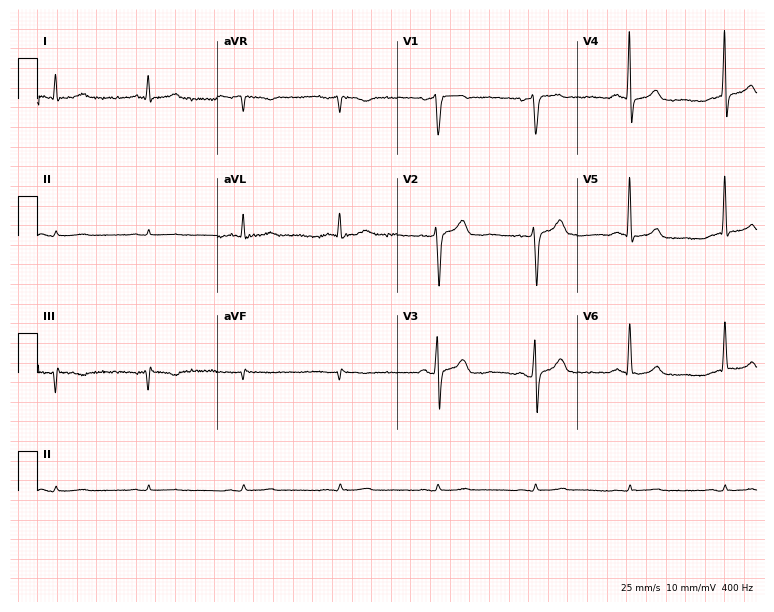
Standard 12-lead ECG recorded from a 55-year-old man (7.3-second recording at 400 Hz). None of these six findings is recorded: first-degree AV block, right bundle branch block, left bundle branch block, sinus bradycardia, atrial fibrillation, sinus tachycardia. Findings outside these six are not listed.